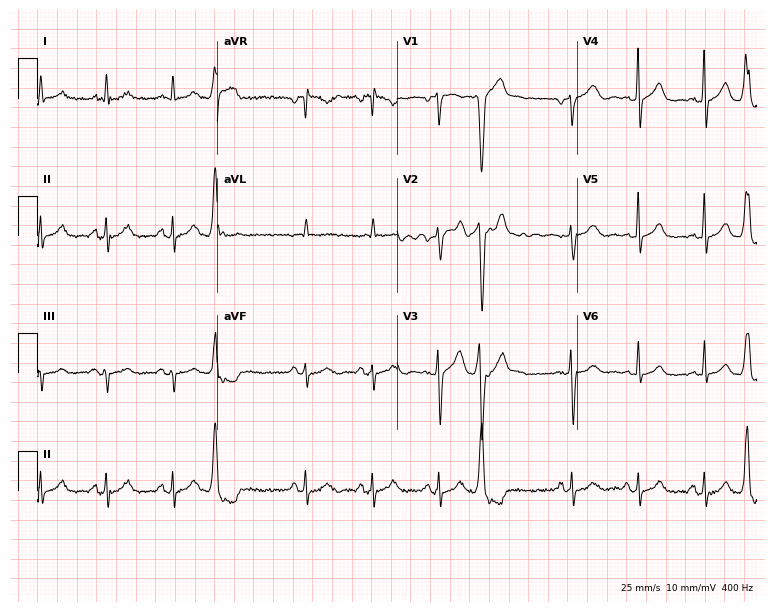
12-lead ECG (7.3-second recording at 400 Hz) from a male, 79 years old. Screened for six findings — first-degree AV block, right bundle branch block, left bundle branch block, sinus bradycardia, atrial fibrillation, sinus tachycardia — none is recorded.